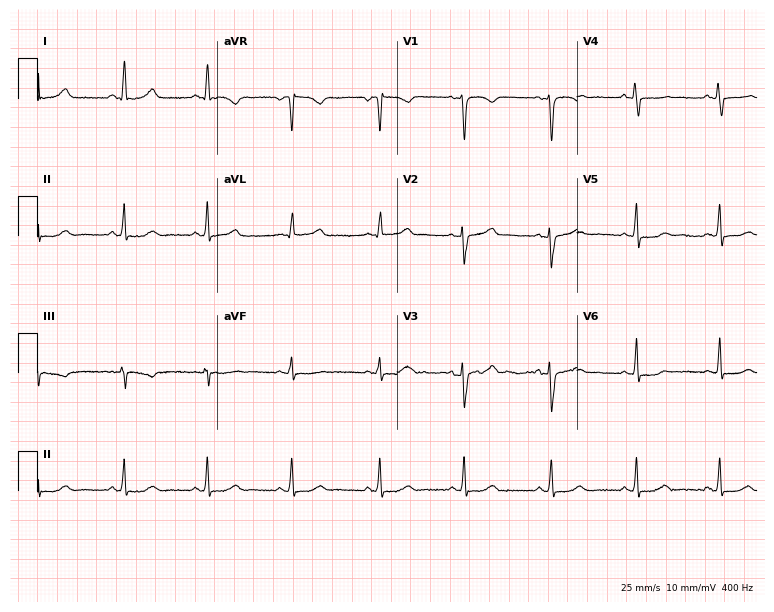
Electrocardiogram (7.3-second recording at 400 Hz), a female, 42 years old. Overall reading on record: normal ECG.